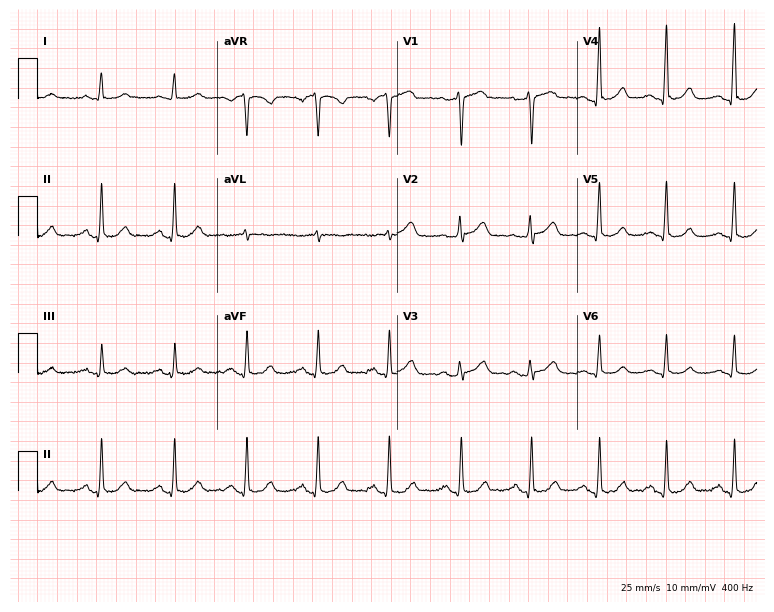
Resting 12-lead electrocardiogram. Patient: a male, 63 years old. Read as a normal ECG.